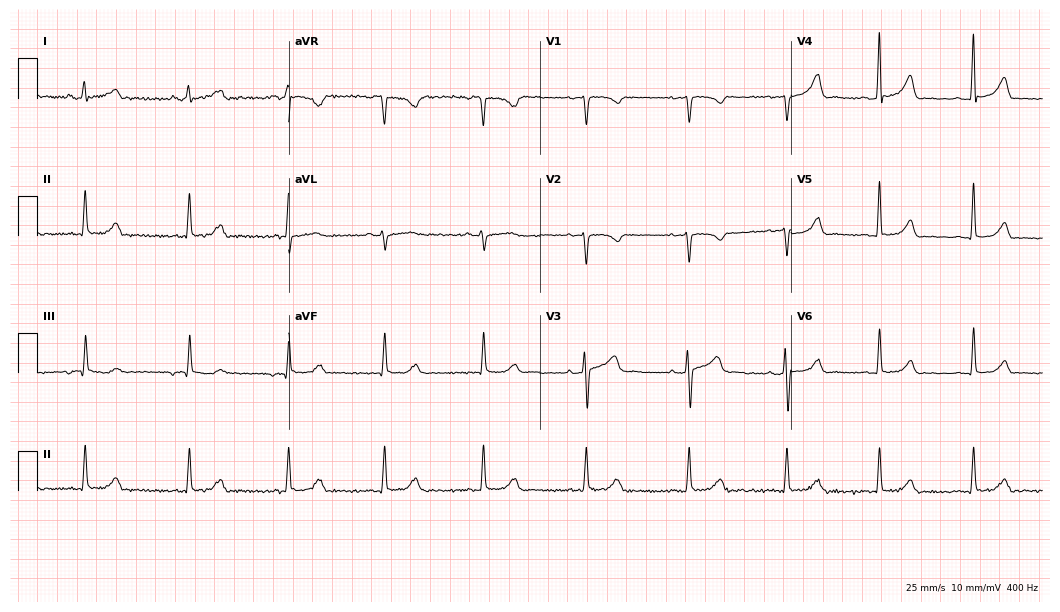
12-lead ECG from a woman, 32 years old. Labelled as a normal ECG.